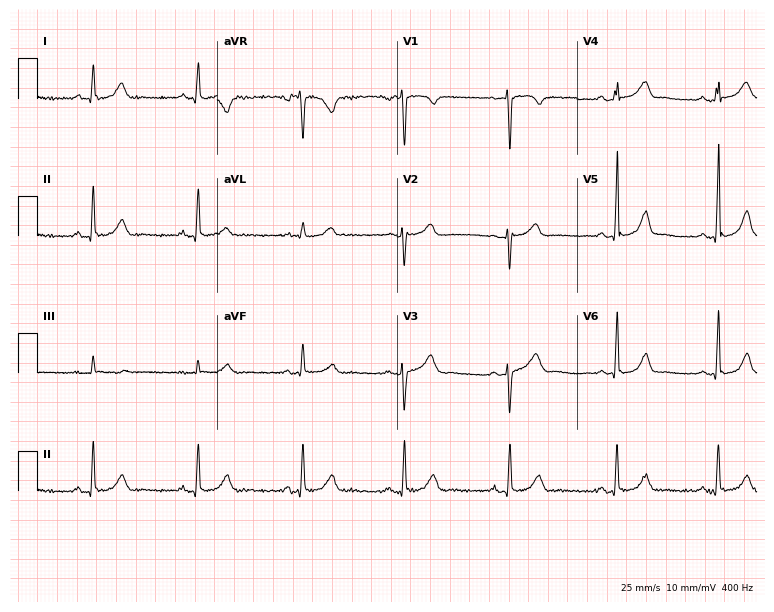
Standard 12-lead ECG recorded from a 44-year-old woman (7.3-second recording at 400 Hz). None of these six findings is recorded: first-degree AV block, right bundle branch block (RBBB), left bundle branch block (LBBB), sinus bradycardia, atrial fibrillation (AF), sinus tachycardia. Findings outside these six are not listed.